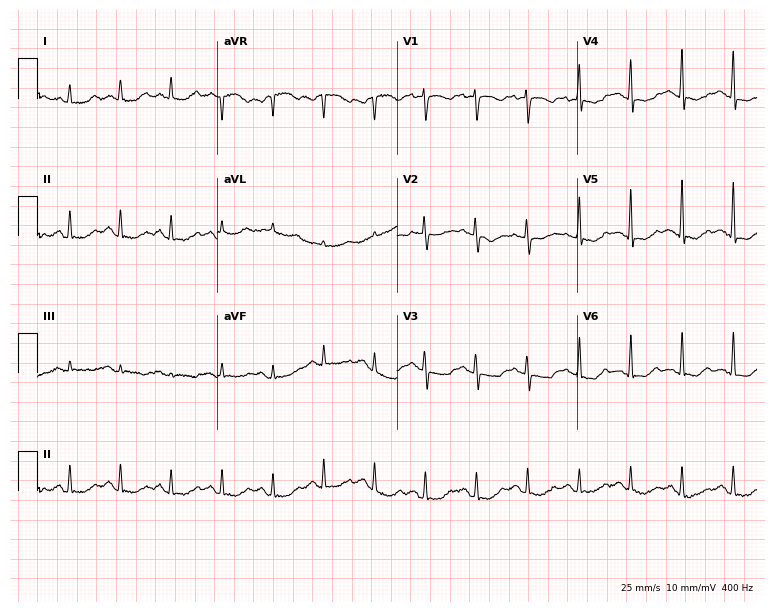
ECG (7.3-second recording at 400 Hz) — a 66-year-old female patient. Findings include sinus tachycardia (a sinus rate of 100 beats per minute or more).